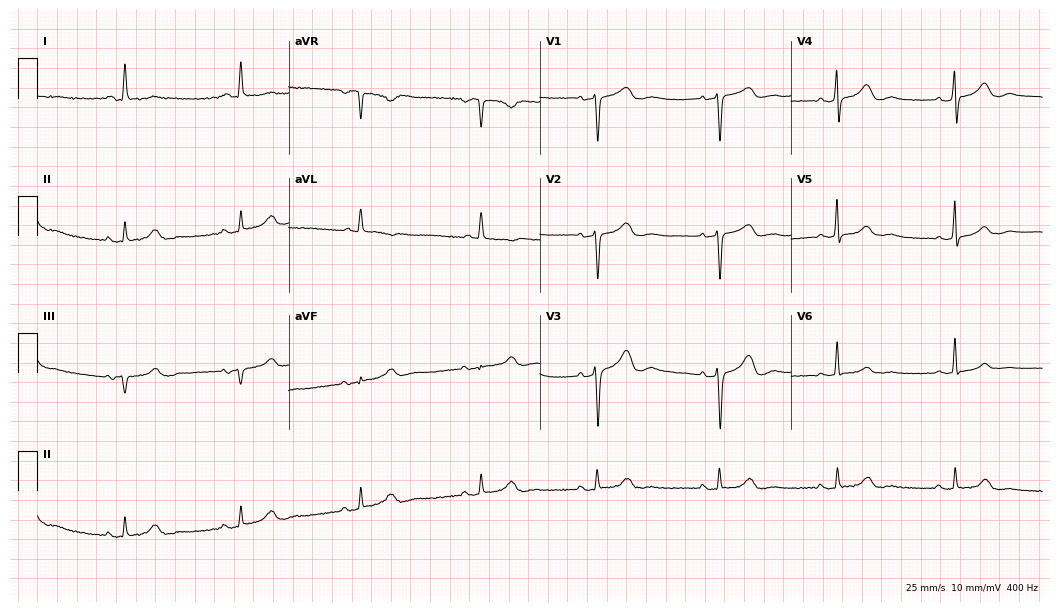
Electrocardiogram, a 74-year-old woman. Of the six screened findings (first-degree AV block, right bundle branch block (RBBB), left bundle branch block (LBBB), sinus bradycardia, atrial fibrillation (AF), sinus tachycardia), none is recorded. Findings outside these six are not listed.